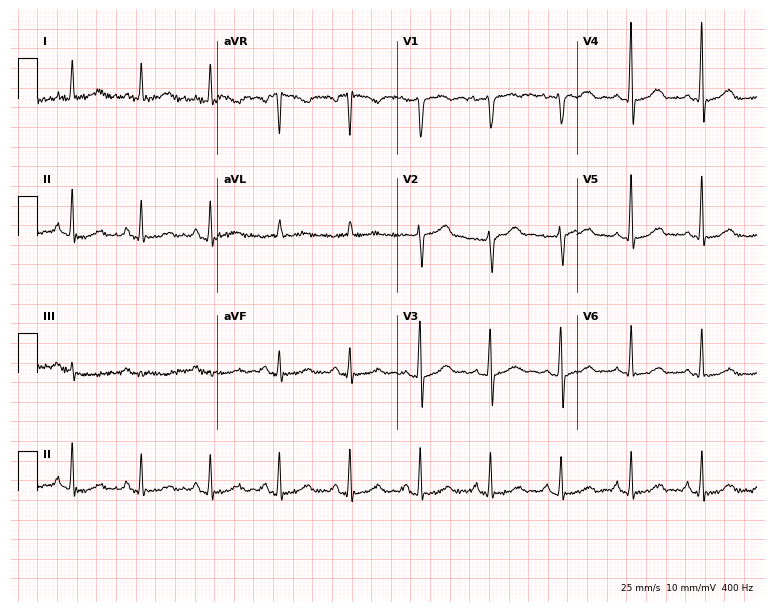
Standard 12-lead ECG recorded from a female patient, 62 years old (7.3-second recording at 400 Hz). Read as a normal ECG.